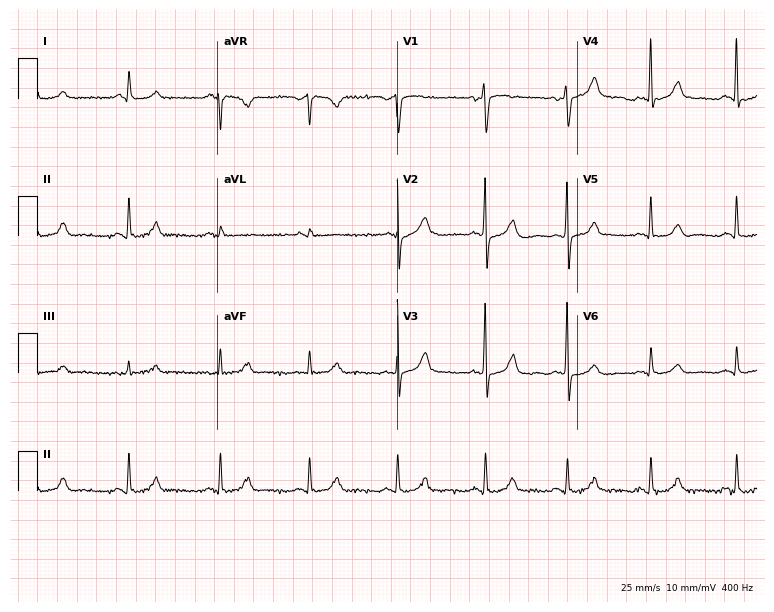
Standard 12-lead ECG recorded from a female patient, 62 years old. Read as a normal ECG.